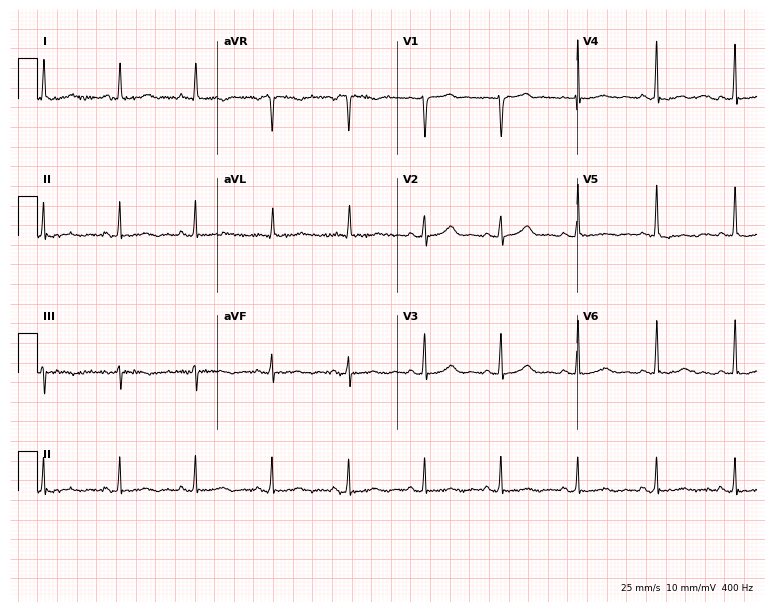
Electrocardiogram (7.3-second recording at 400 Hz), a 47-year-old female. Of the six screened findings (first-degree AV block, right bundle branch block (RBBB), left bundle branch block (LBBB), sinus bradycardia, atrial fibrillation (AF), sinus tachycardia), none is recorded. Only these six findings were labelled.